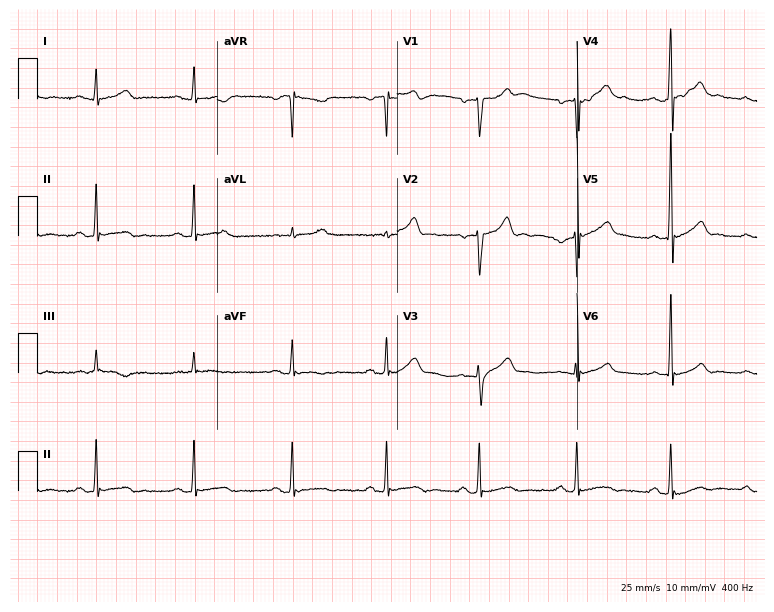
Standard 12-lead ECG recorded from a male patient, 34 years old. None of these six findings is recorded: first-degree AV block, right bundle branch block, left bundle branch block, sinus bradycardia, atrial fibrillation, sinus tachycardia. Only these six findings were labelled.